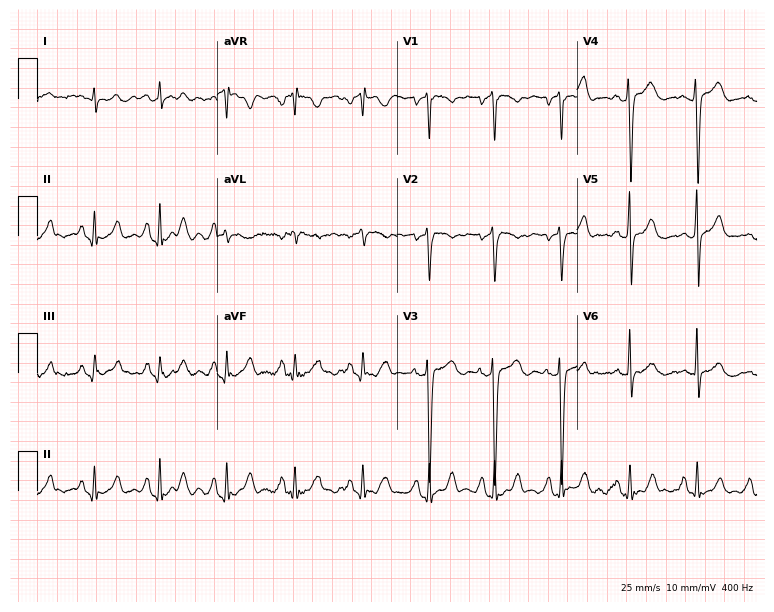
12-lead ECG from a 66-year-old male patient. Screened for six findings — first-degree AV block, right bundle branch block, left bundle branch block, sinus bradycardia, atrial fibrillation, sinus tachycardia — none is recorded.